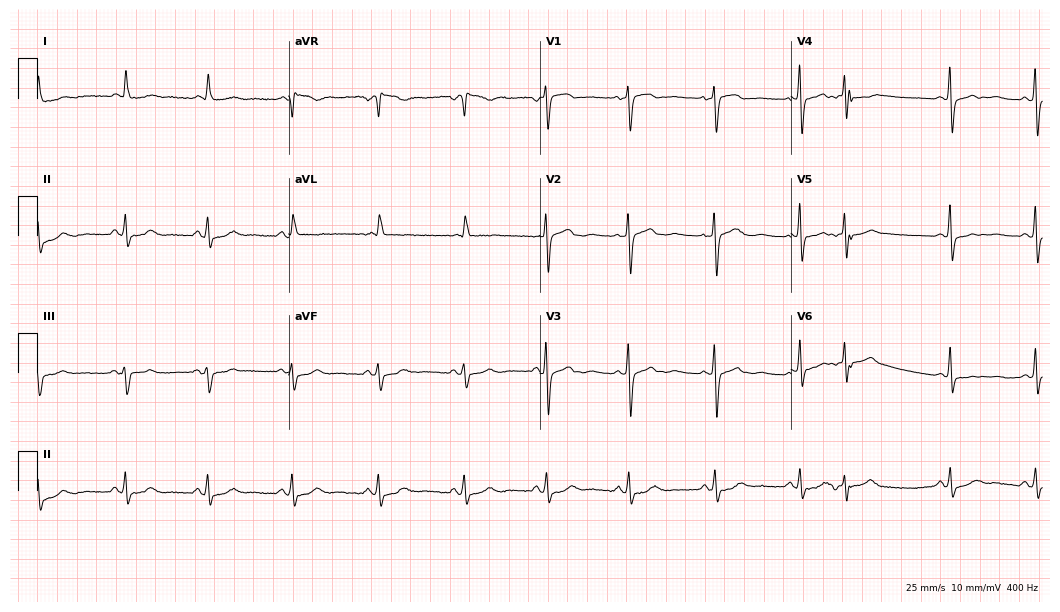
ECG (10.2-second recording at 400 Hz) — a woman, 75 years old. Labelled as a normal ECG.